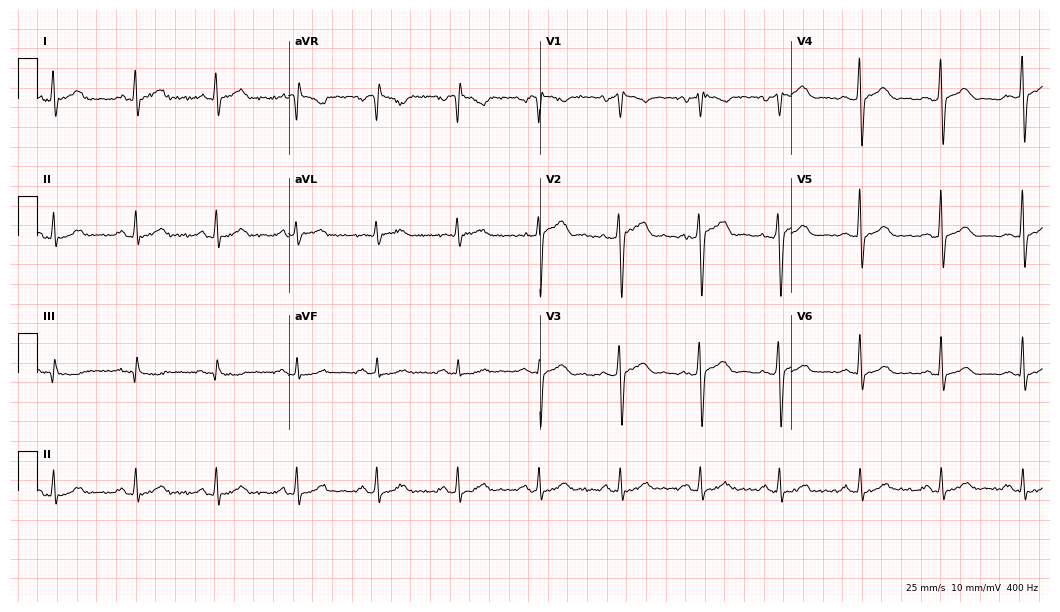
Resting 12-lead electrocardiogram. Patient: a male, 49 years old. Read as a normal ECG.